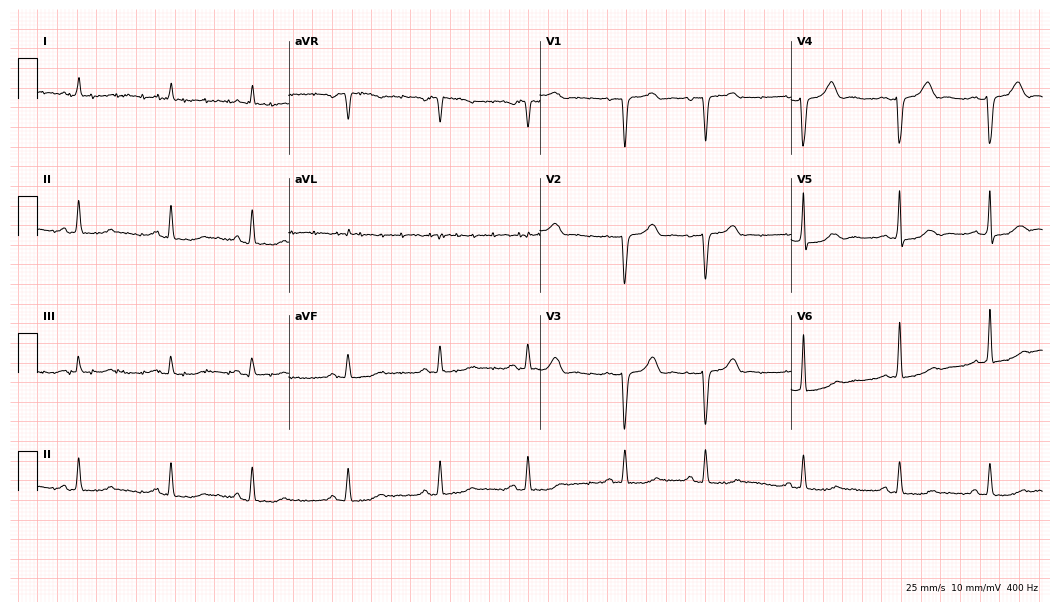
Standard 12-lead ECG recorded from a woman, 83 years old. None of these six findings is recorded: first-degree AV block, right bundle branch block, left bundle branch block, sinus bradycardia, atrial fibrillation, sinus tachycardia.